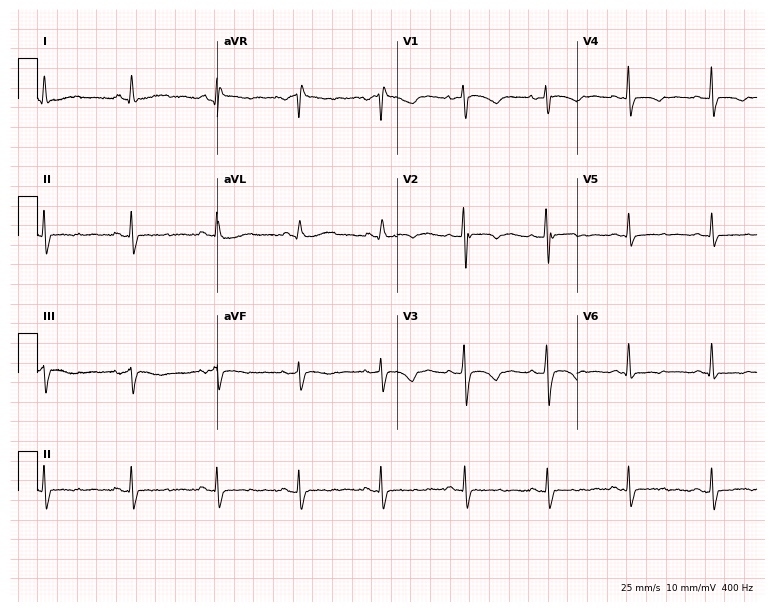
ECG — a 33-year-old woman. Screened for six findings — first-degree AV block, right bundle branch block, left bundle branch block, sinus bradycardia, atrial fibrillation, sinus tachycardia — none is recorded.